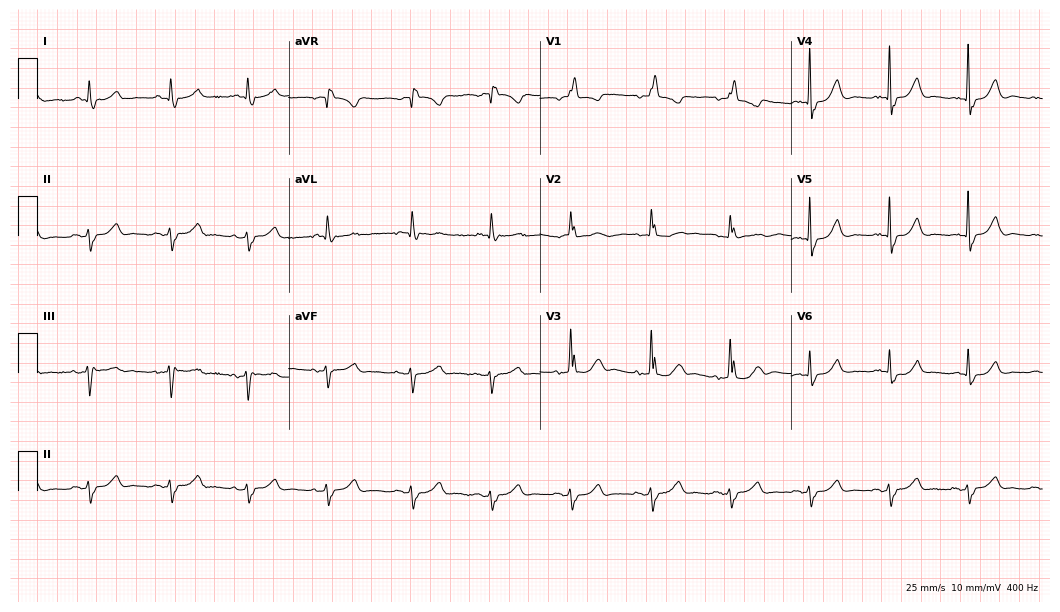
Standard 12-lead ECG recorded from an 80-year-old woman (10.2-second recording at 400 Hz). The tracing shows right bundle branch block (RBBB).